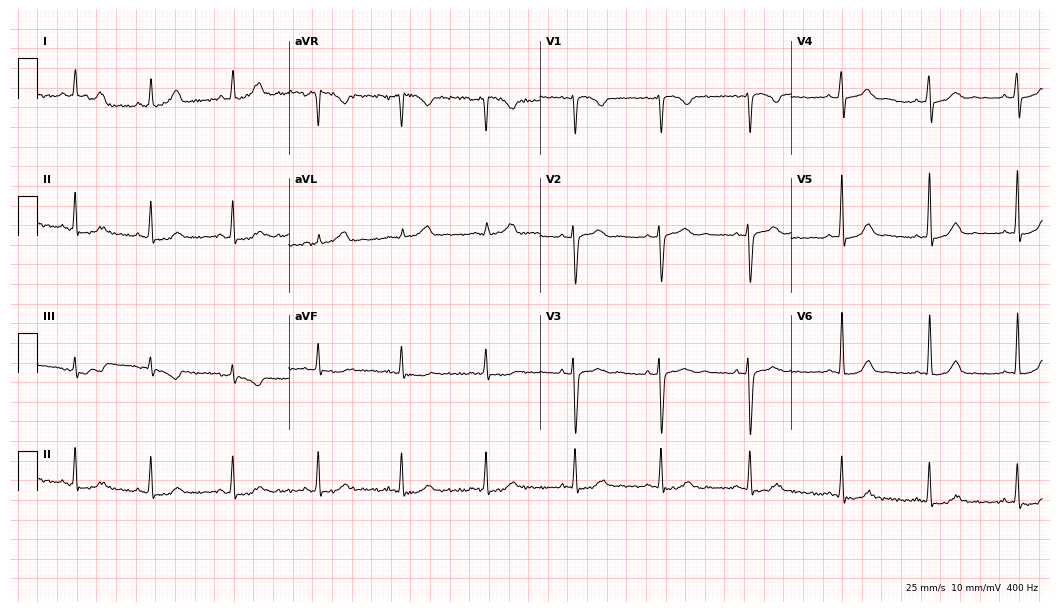
ECG — a 44-year-old woman. Labelled as a normal ECG.